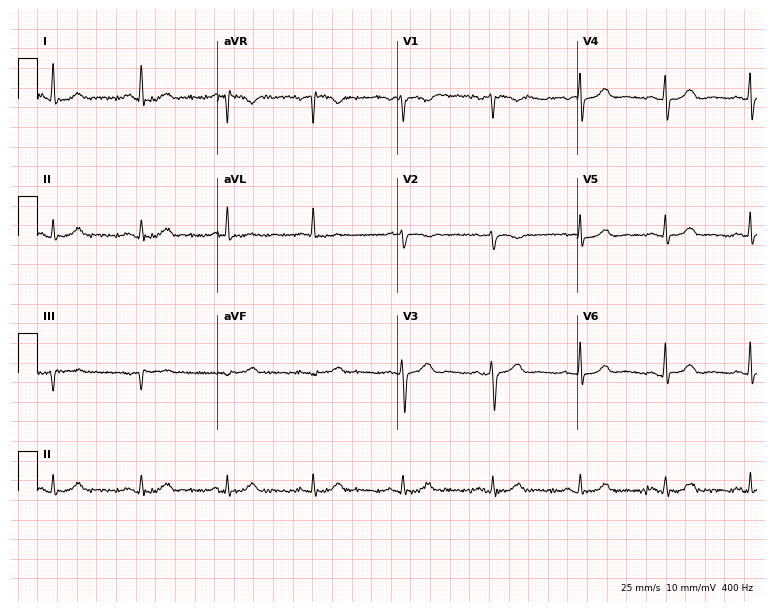
12-lead ECG (7.3-second recording at 400 Hz) from a male, 61 years old. Labelled as a normal ECG.